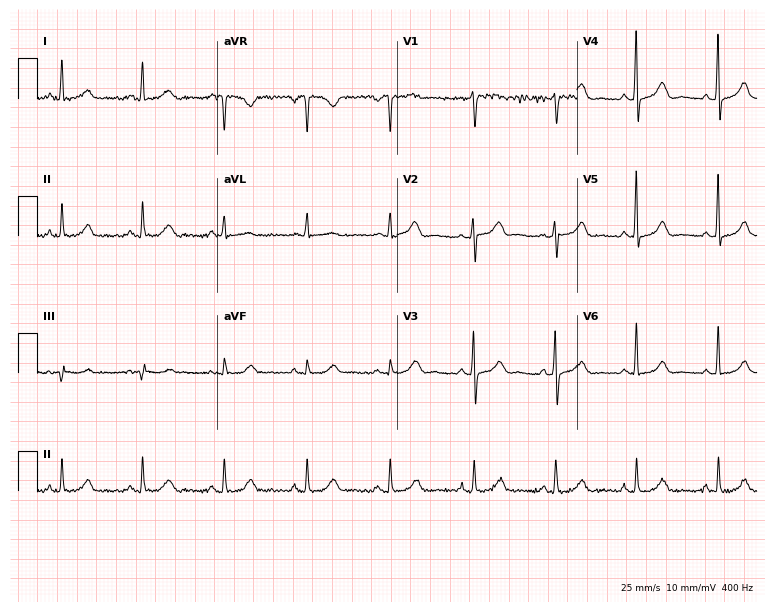
Standard 12-lead ECG recorded from a female, 58 years old. Read as a normal ECG.